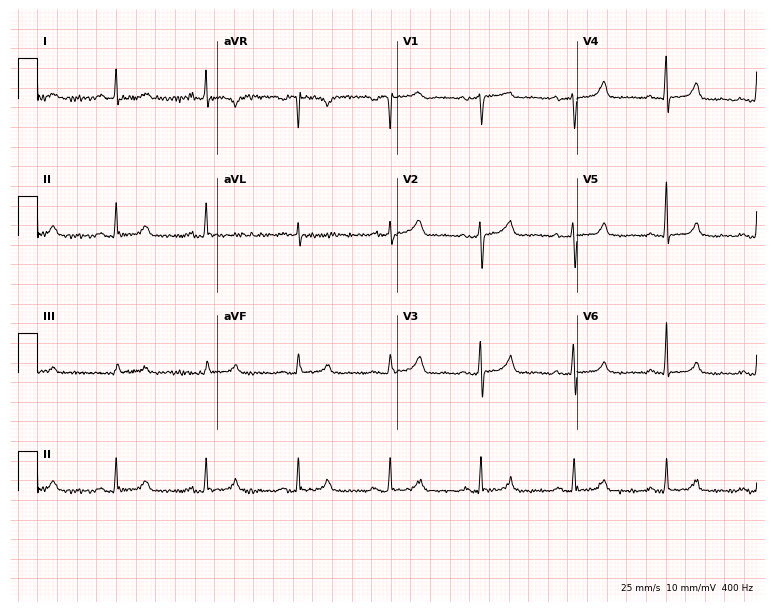
ECG (7.3-second recording at 400 Hz) — a 60-year-old woman. Screened for six findings — first-degree AV block, right bundle branch block (RBBB), left bundle branch block (LBBB), sinus bradycardia, atrial fibrillation (AF), sinus tachycardia — none is recorded. Findings outside these six are not listed.